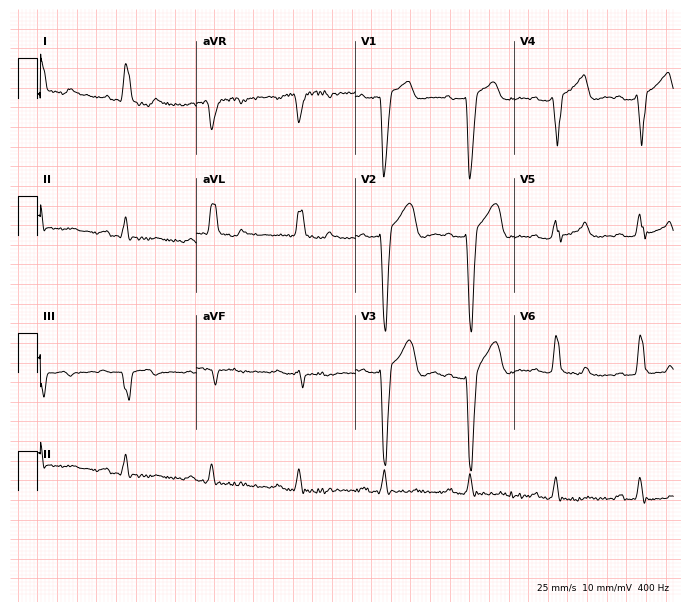
12-lead ECG from a 79-year-old man (6.5-second recording at 400 Hz). Shows first-degree AV block, left bundle branch block.